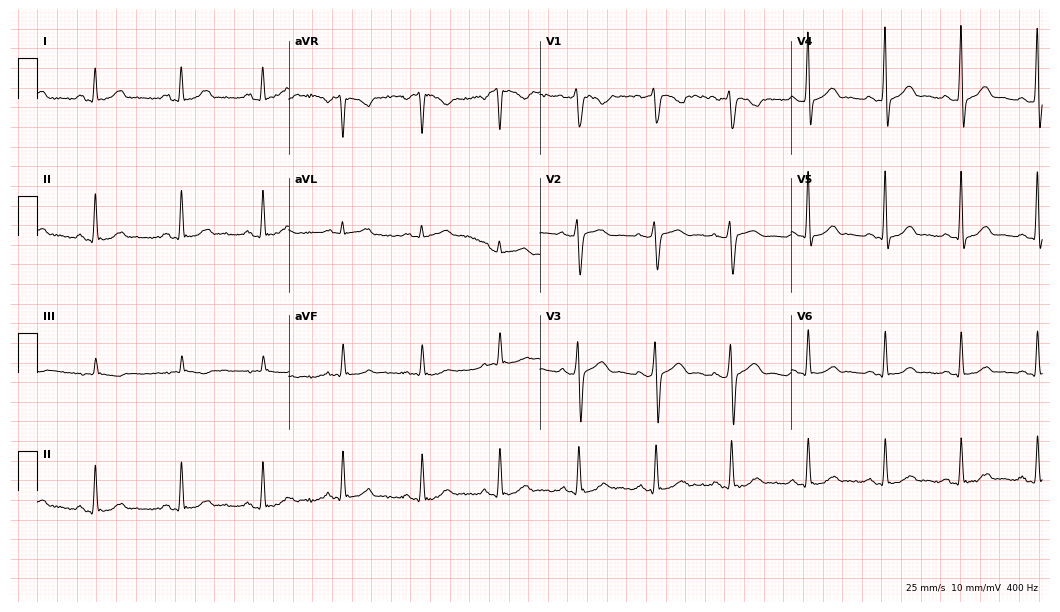
Standard 12-lead ECG recorded from a woman, 22 years old (10.2-second recording at 400 Hz). Read as a normal ECG.